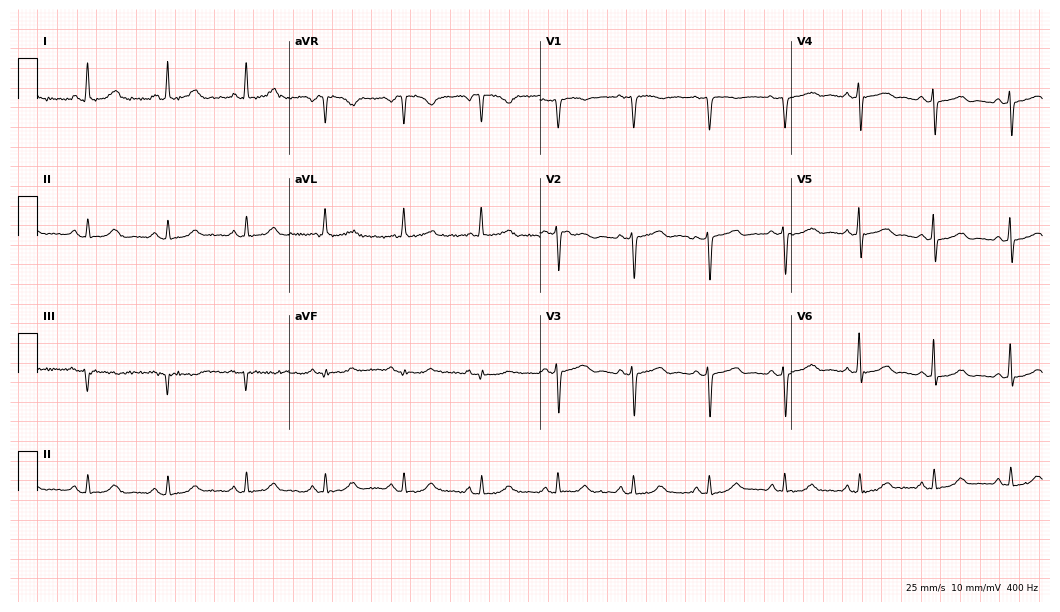
Resting 12-lead electrocardiogram. Patient: a female, 60 years old. Read as a normal ECG.